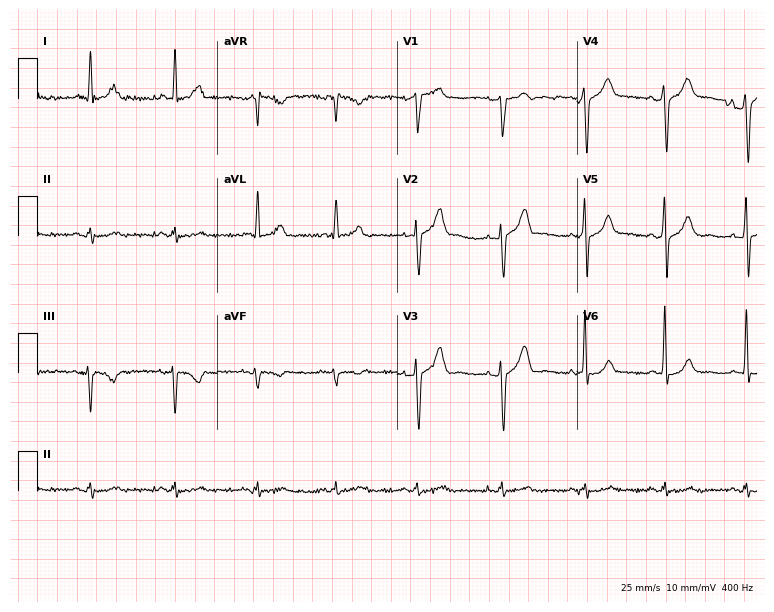
12-lead ECG from a man, 50 years old (7.3-second recording at 400 Hz). No first-degree AV block, right bundle branch block, left bundle branch block, sinus bradycardia, atrial fibrillation or sinus tachycardia recorded for this tracing.